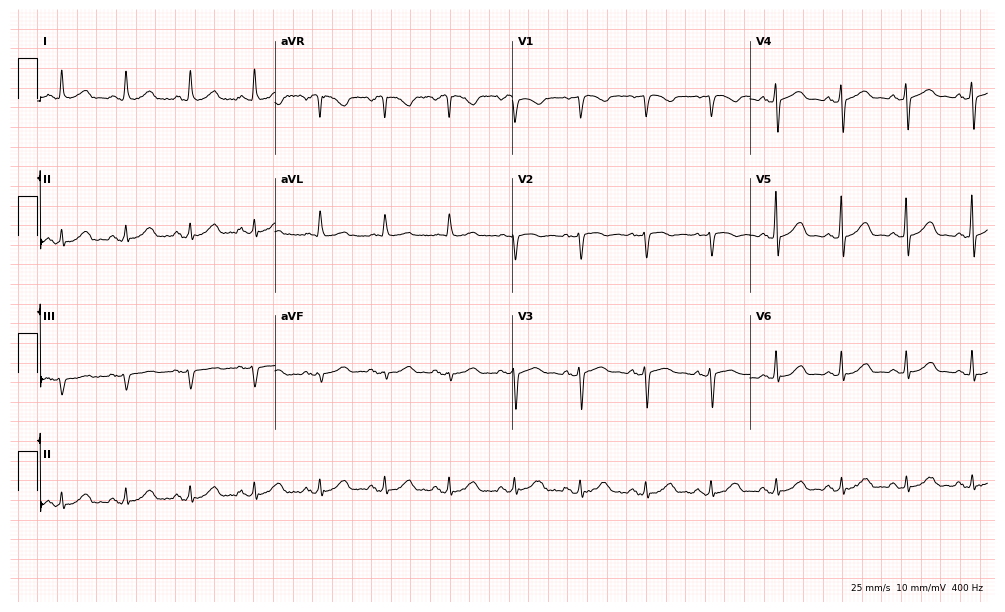
12-lead ECG (9.7-second recording at 400 Hz) from a 74-year-old female. Labelled as a normal ECG.